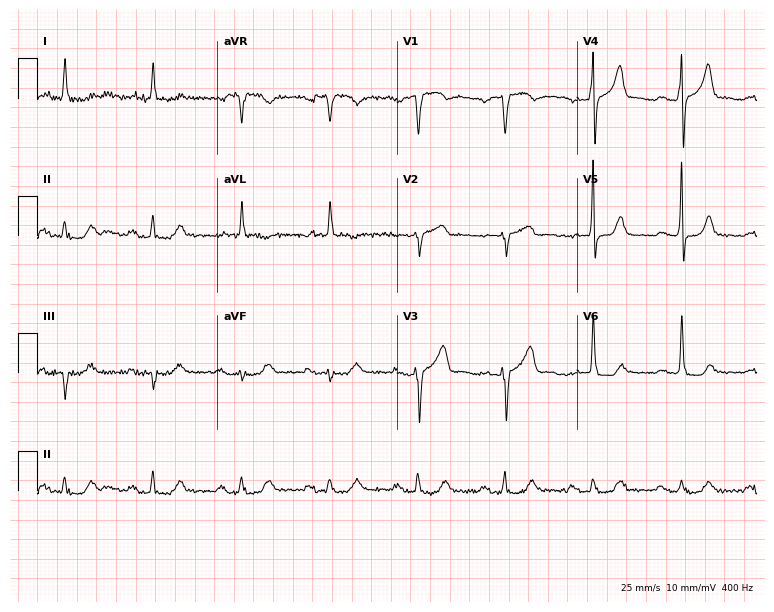
Standard 12-lead ECG recorded from a 78-year-old man. Read as a normal ECG.